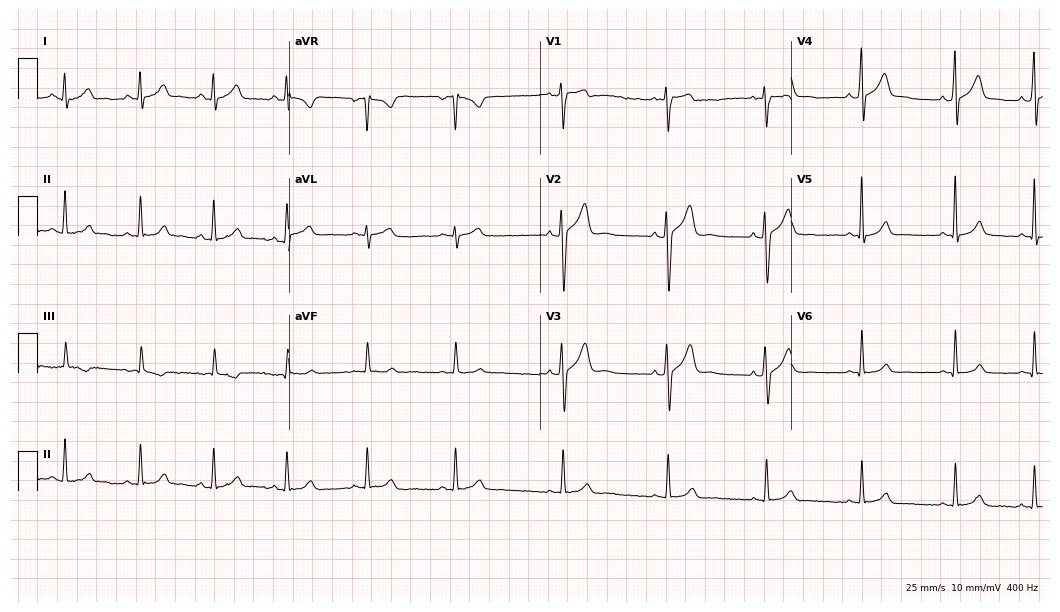
Standard 12-lead ECG recorded from a male patient, 26 years old (10.2-second recording at 400 Hz). Read as a normal ECG.